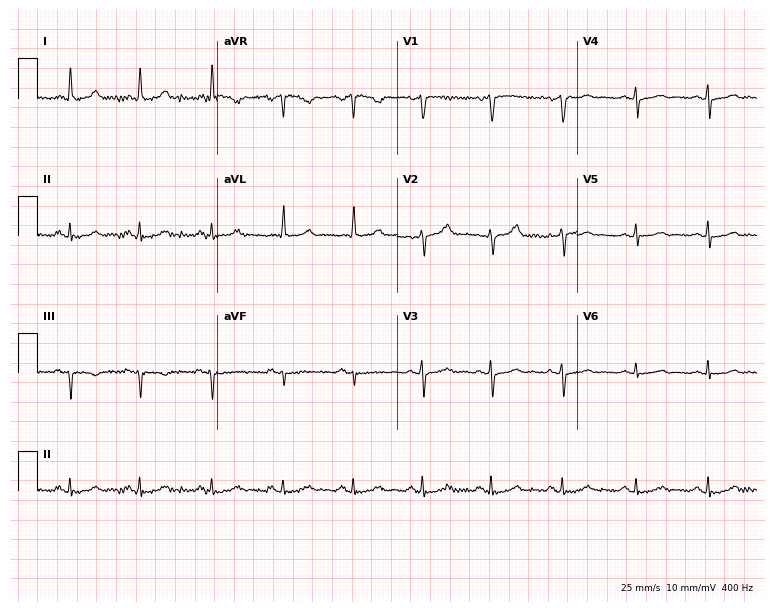
12-lead ECG (7.3-second recording at 400 Hz) from a woman, 50 years old. Screened for six findings — first-degree AV block, right bundle branch block (RBBB), left bundle branch block (LBBB), sinus bradycardia, atrial fibrillation (AF), sinus tachycardia — none is recorded. Other findings, if any, are not listed.